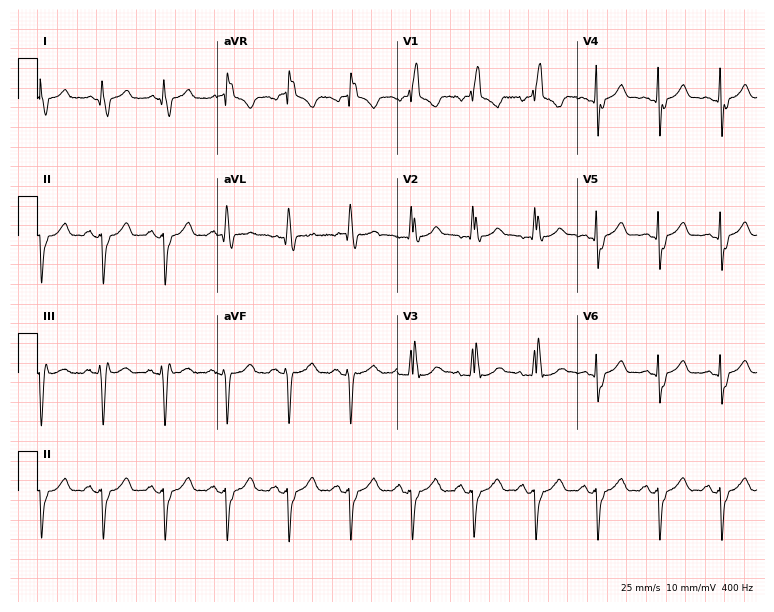
12-lead ECG from an 82-year-old female. Findings include right bundle branch block.